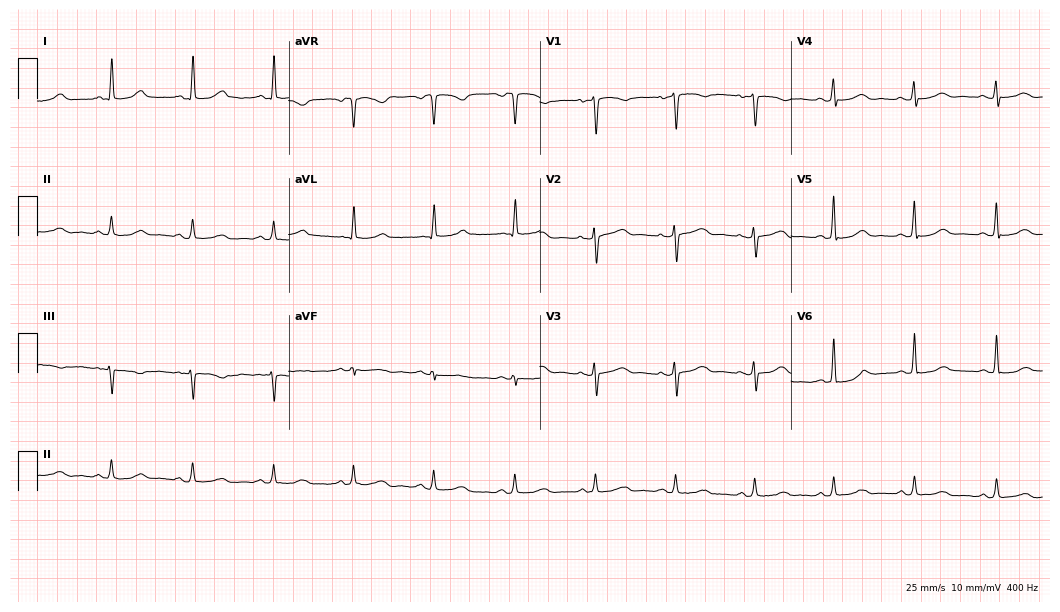
Electrocardiogram, a woman, 49 years old. Overall reading on record: normal ECG.